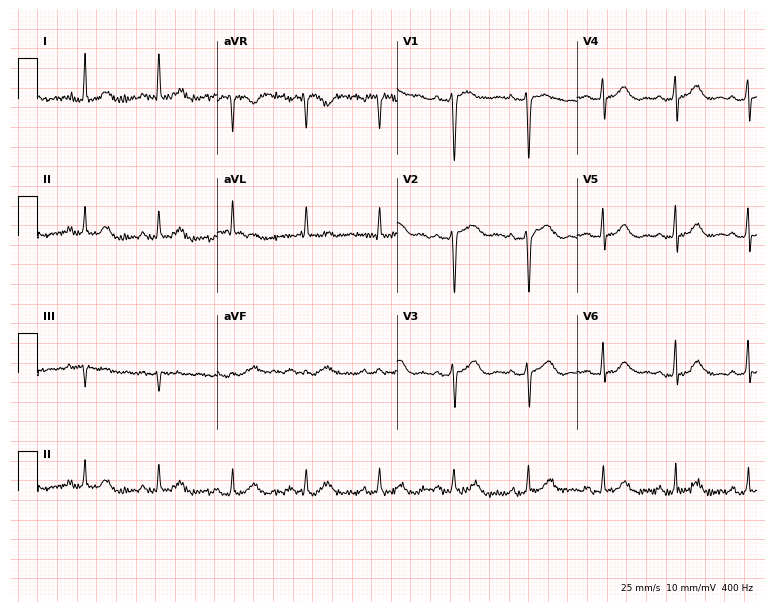
12-lead ECG from a 48-year-old woman. Labelled as a normal ECG.